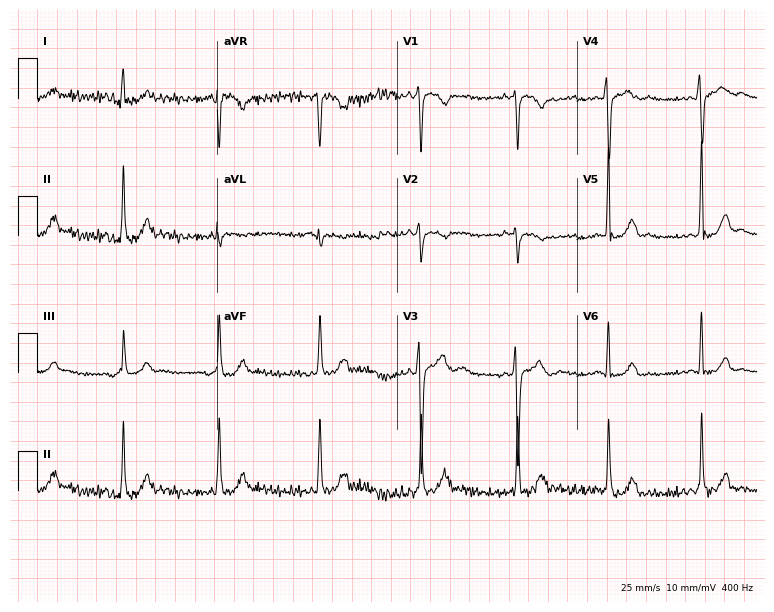
Standard 12-lead ECG recorded from a female patient, 19 years old (7.3-second recording at 400 Hz). None of these six findings is recorded: first-degree AV block, right bundle branch block, left bundle branch block, sinus bradycardia, atrial fibrillation, sinus tachycardia. Other findings, if any, are not listed.